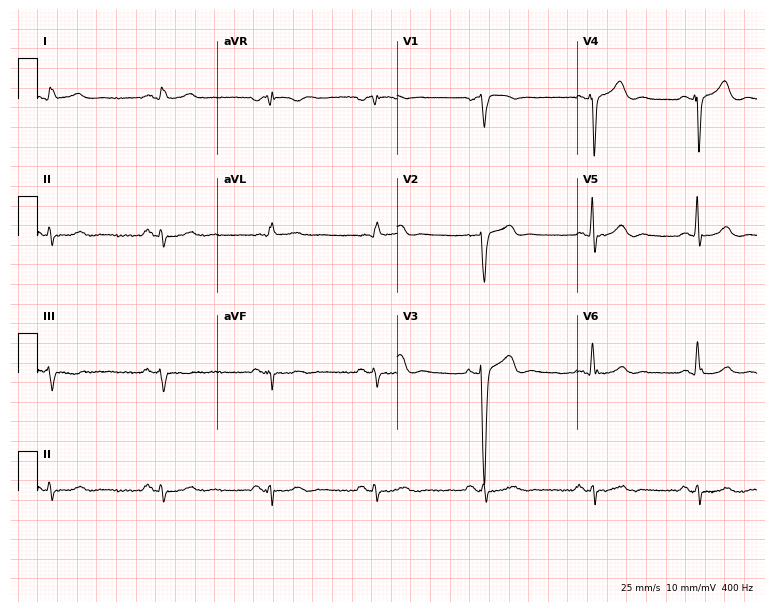
ECG (7.3-second recording at 400 Hz) — a 66-year-old man. Screened for six findings — first-degree AV block, right bundle branch block (RBBB), left bundle branch block (LBBB), sinus bradycardia, atrial fibrillation (AF), sinus tachycardia — none is recorded.